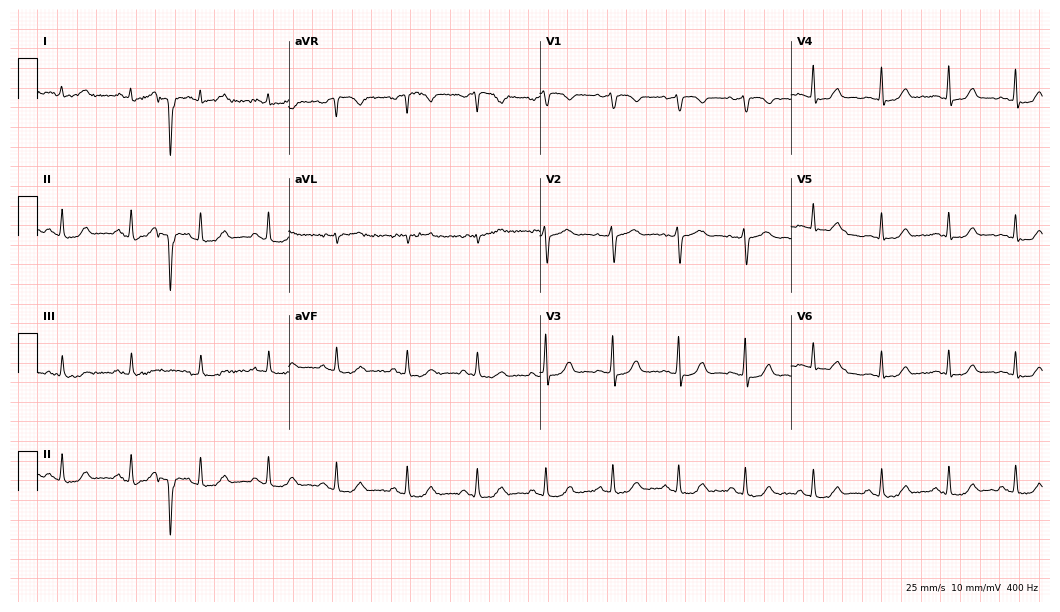
12-lead ECG (10.2-second recording at 400 Hz) from a woman, 42 years old. Labelled as a normal ECG.